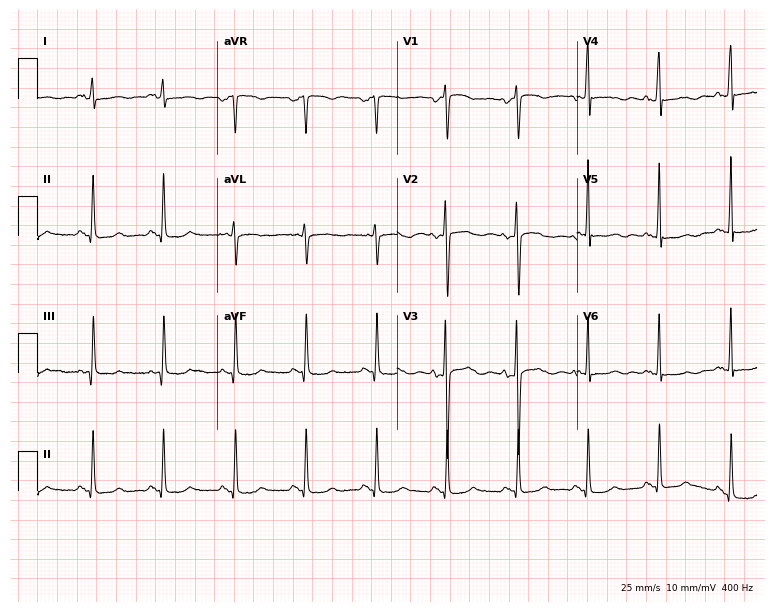
Resting 12-lead electrocardiogram. Patient: a 26-year-old female. None of these six findings is recorded: first-degree AV block, right bundle branch block, left bundle branch block, sinus bradycardia, atrial fibrillation, sinus tachycardia.